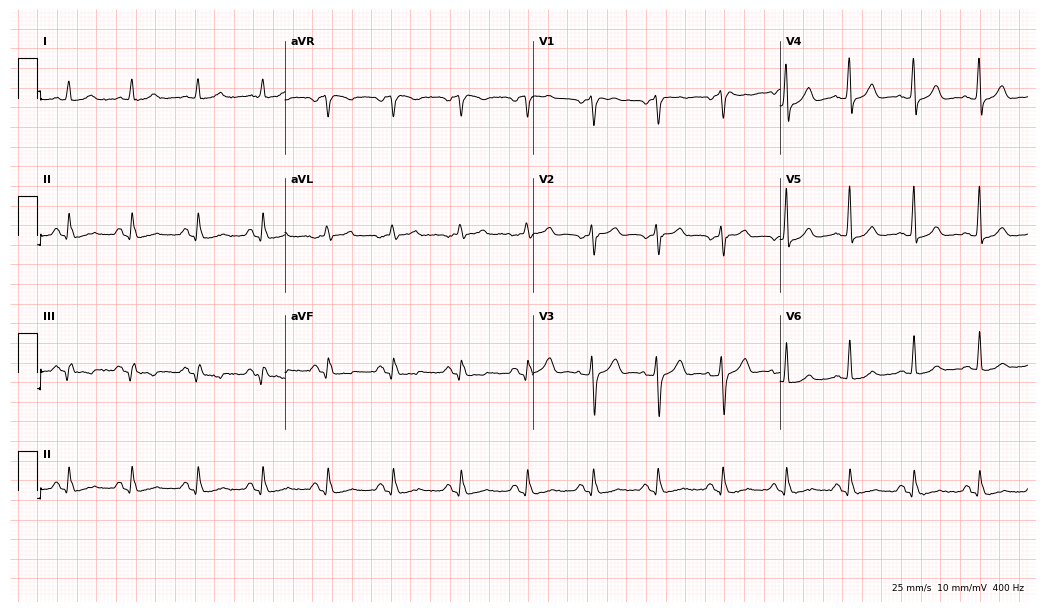
Resting 12-lead electrocardiogram. Patient: a male, 64 years old. Read as a normal ECG.